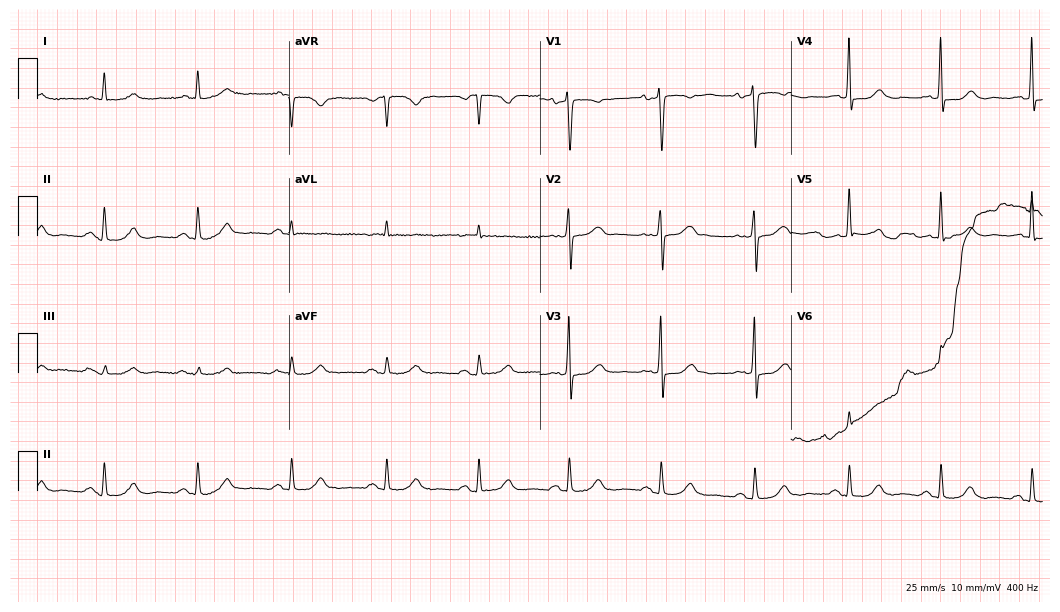
Electrocardiogram, a 73-year-old woman. Overall reading on record: normal ECG.